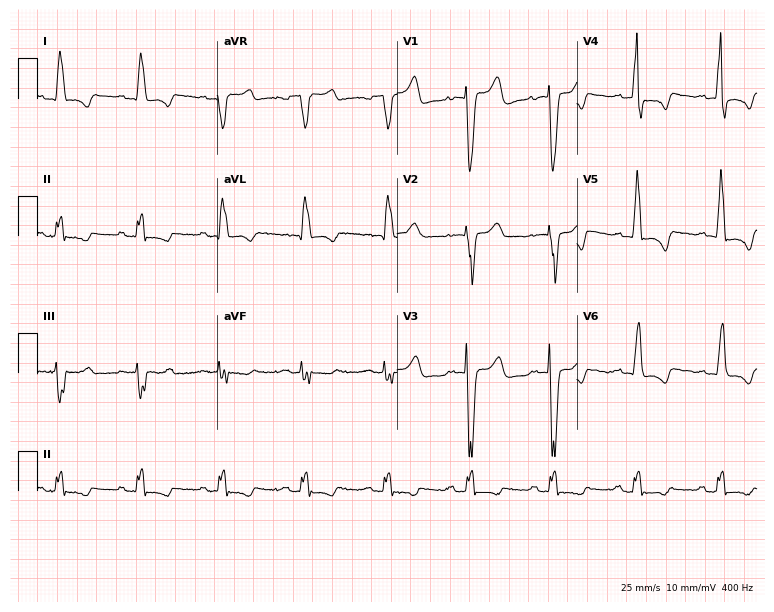
Resting 12-lead electrocardiogram (7.3-second recording at 400 Hz). Patient: a male, 85 years old. The tracing shows left bundle branch block (LBBB).